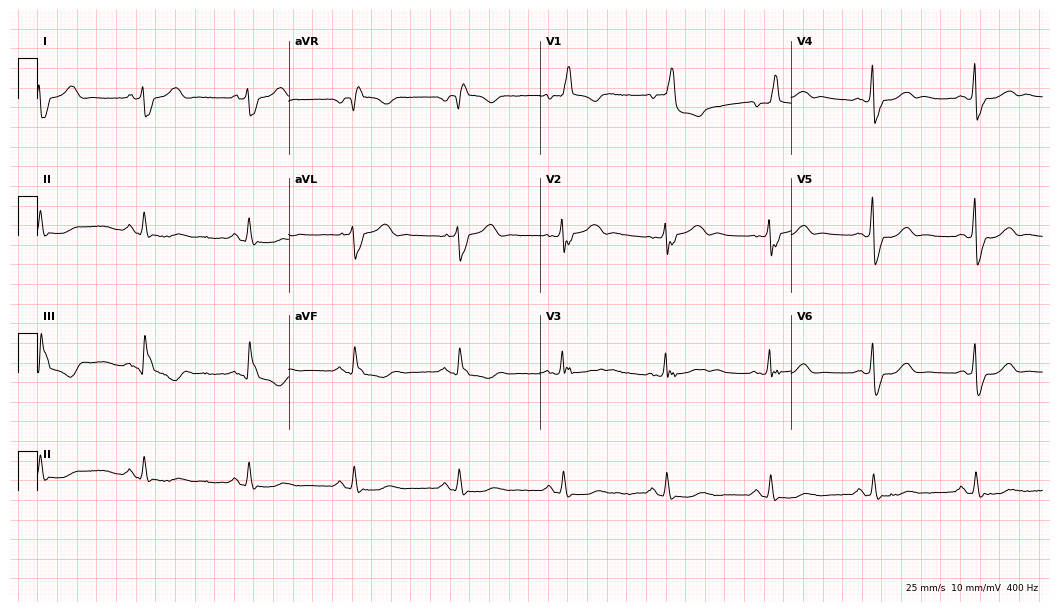
ECG — a 79-year-old man. Findings include right bundle branch block (RBBB).